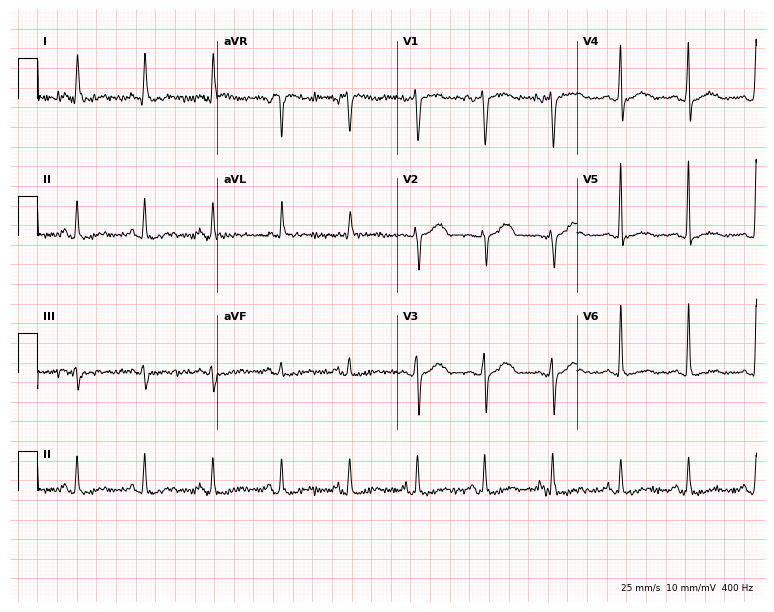
Electrocardiogram (7.3-second recording at 400 Hz), a 64-year-old male patient. Of the six screened findings (first-degree AV block, right bundle branch block (RBBB), left bundle branch block (LBBB), sinus bradycardia, atrial fibrillation (AF), sinus tachycardia), none is recorded.